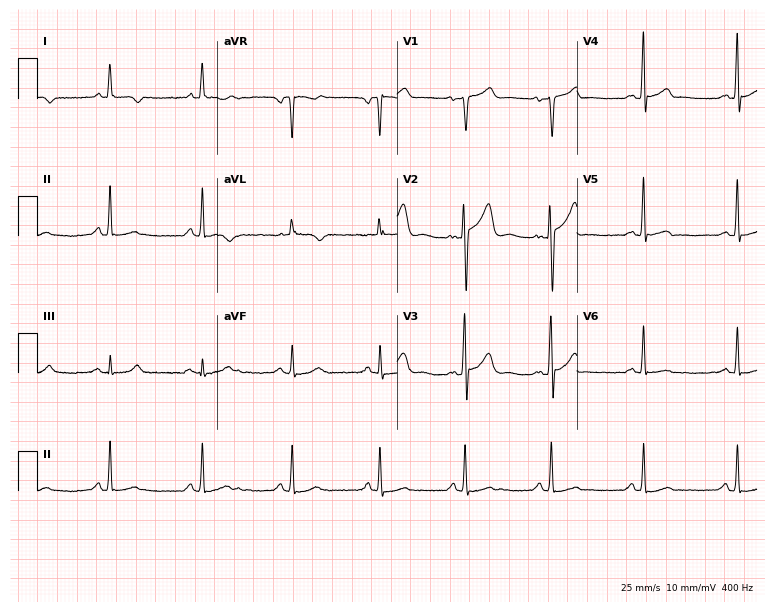
Resting 12-lead electrocardiogram. Patient: a 60-year-old male. None of these six findings is recorded: first-degree AV block, right bundle branch block, left bundle branch block, sinus bradycardia, atrial fibrillation, sinus tachycardia.